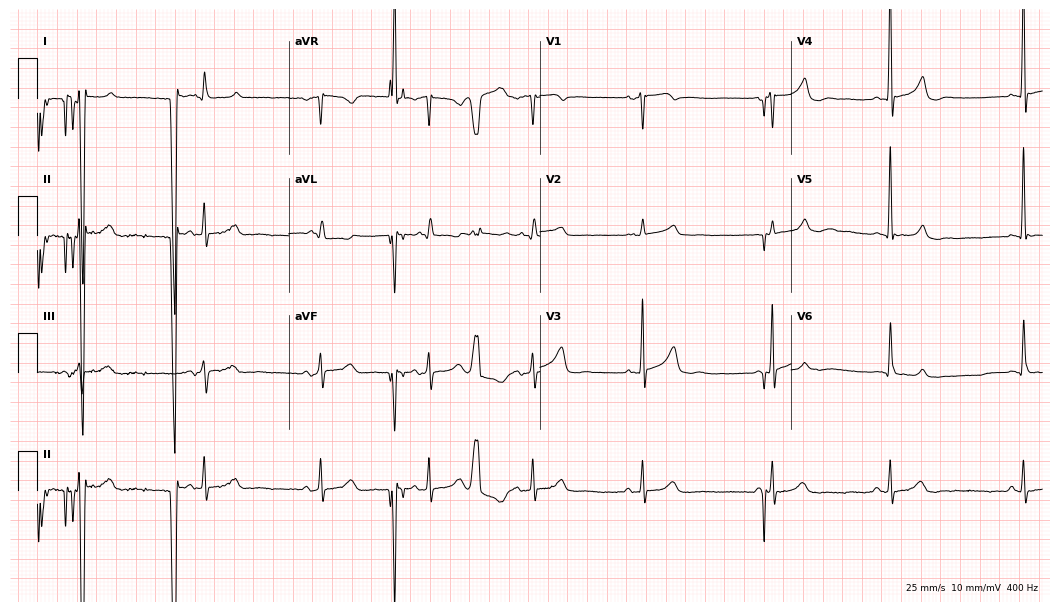
Standard 12-lead ECG recorded from a man, 74 years old (10.2-second recording at 400 Hz). None of these six findings is recorded: first-degree AV block, right bundle branch block, left bundle branch block, sinus bradycardia, atrial fibrillation, sinus tachycardia.